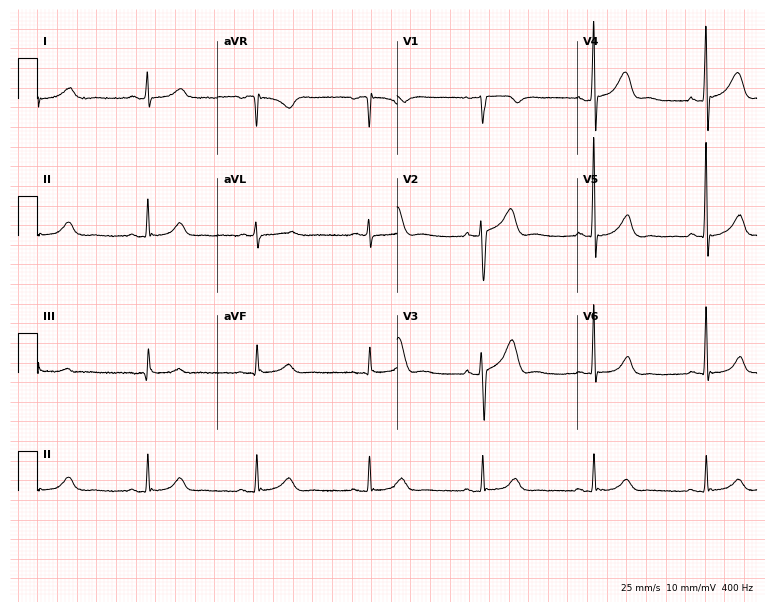
Resting 12-lead electrocardiogram (7.3-second recording at 400 Hz). Patient: a man, 61 years old. Read as a normal ECG.